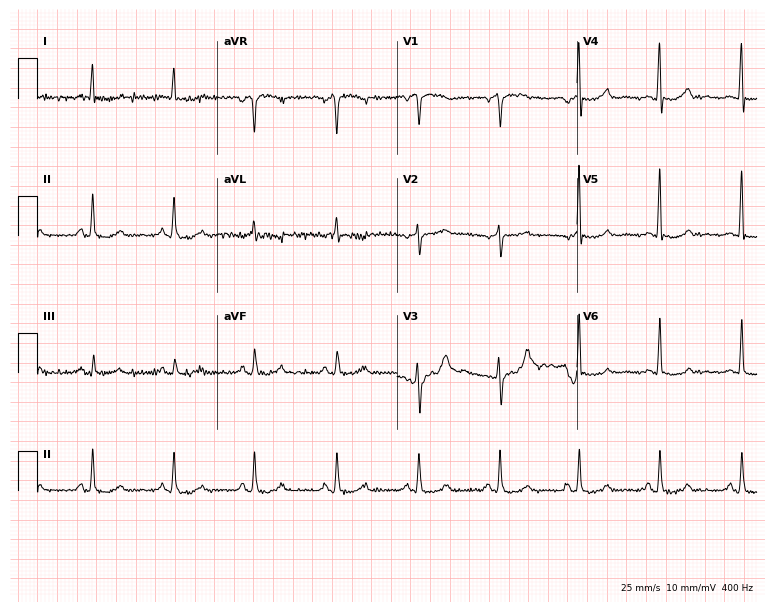
12-lead ECG from a man, 74 years old (7.3-second recording at 400 Hz). No first-degree AV block, right bundle branch block, left bundle branch block, sinus bradycardia, atrial fibrillation or sinus tachycardia recorded for this tracing.